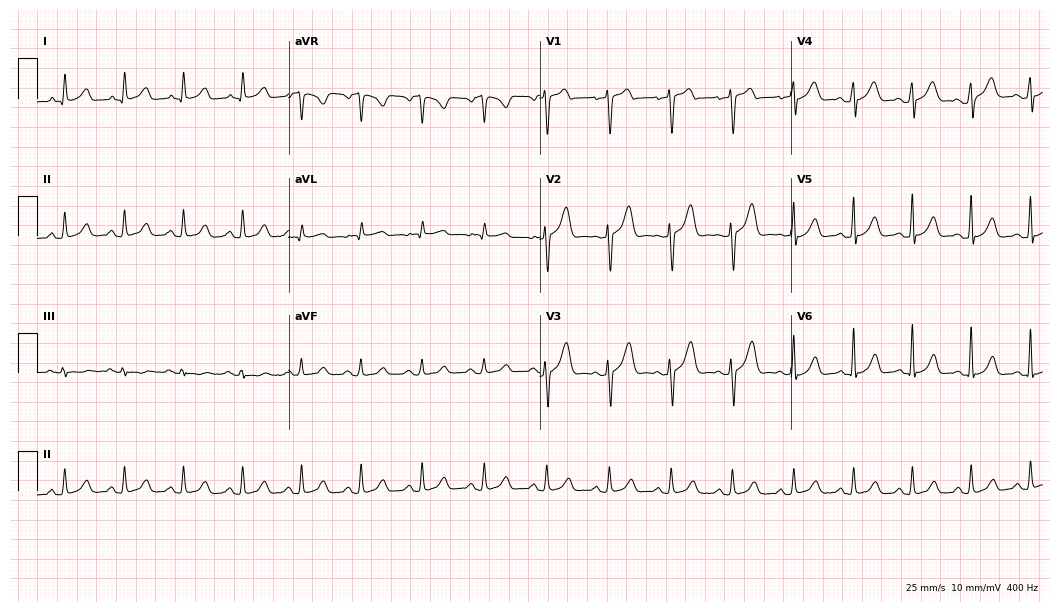
Electrocardiogram, a female, 52 years old. Overall reading on record: normal ECG.